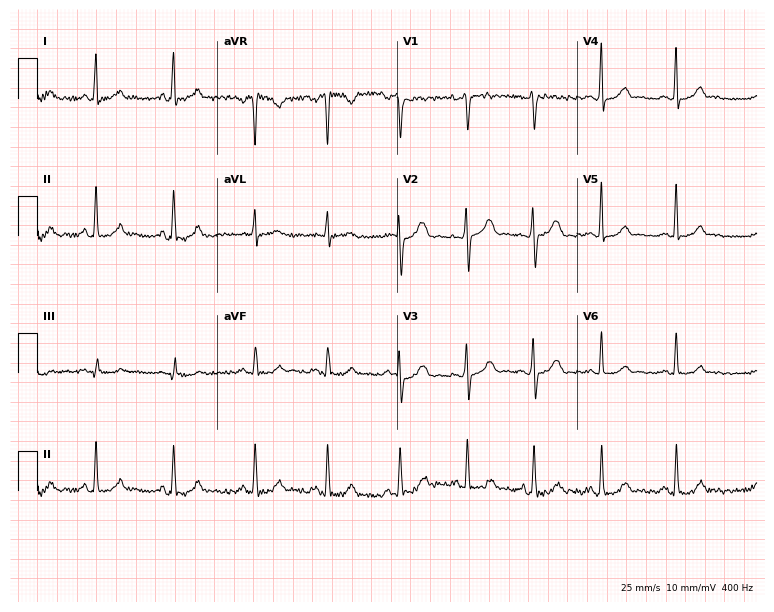
Standard 12-lead ECG recorded from a 33-year-old female (7.3-second recording at 400 Hz). Read as a normal ECG.